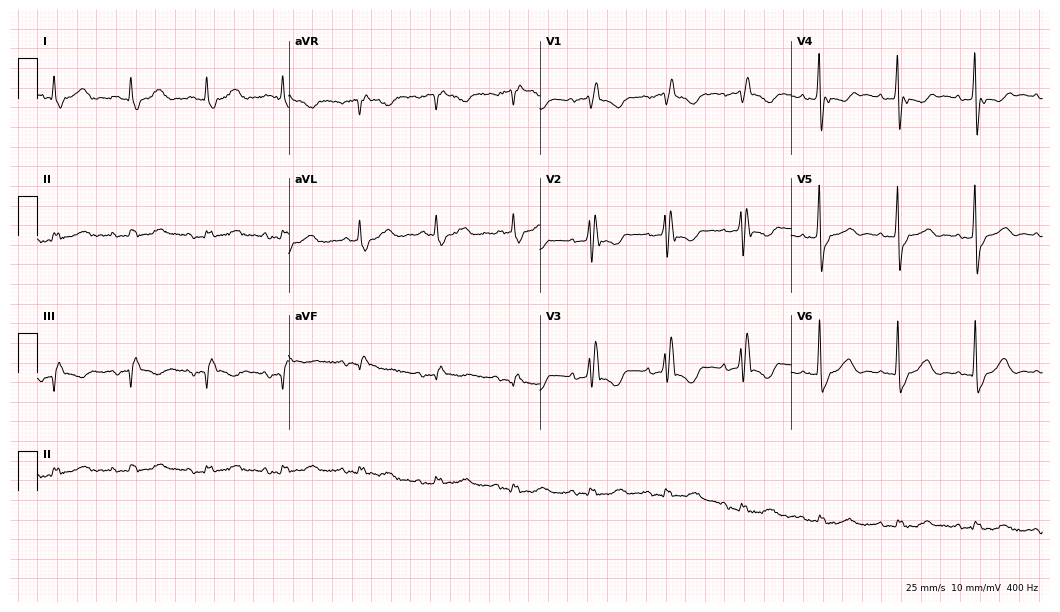
12-lead ECG (10.2-second recording at 400 Hz) from a 79-year-old female. Findings include right bundle branch block.